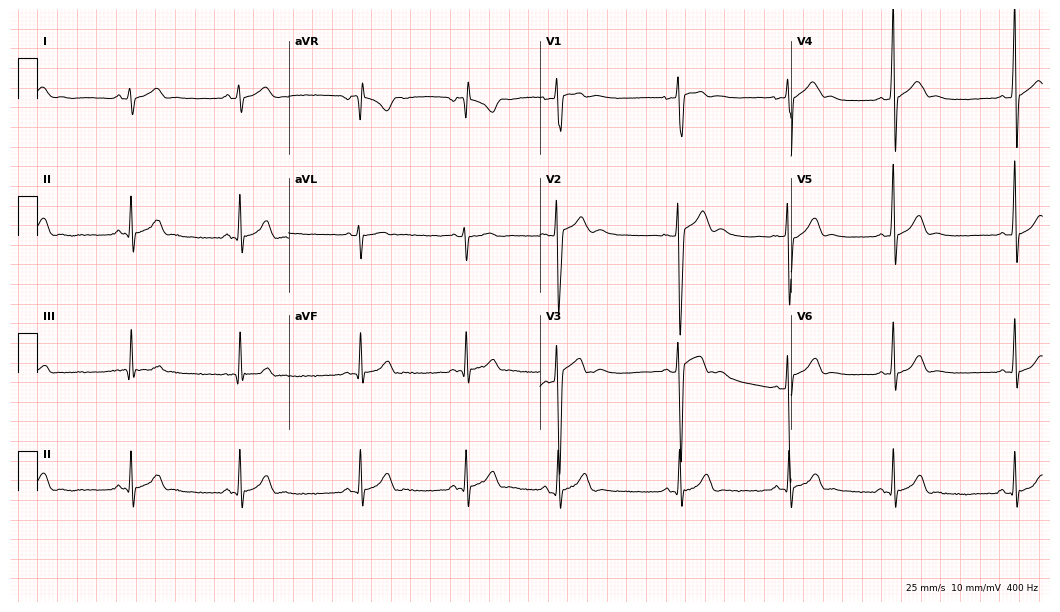
12-lead ECG (10.2-second recording at 400 Hz) from a 17-year-old man. Screened for six findings — first-degree AV block, right bundle branch block, left bundle branch block, sinus bradycardia, atrial fibrillation, sinus tachycardia — none is recorded. Only these six findings were labelled.